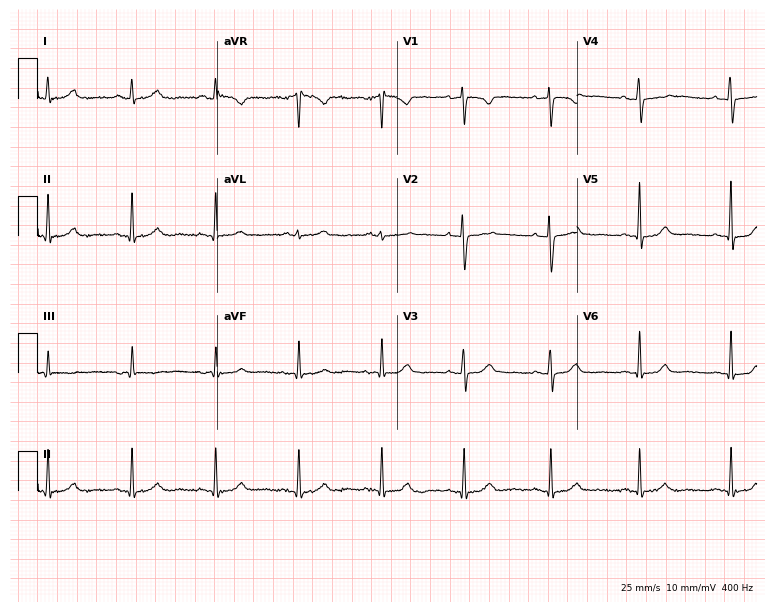
Electrocardiogram, a 45-year-old female patient. Of the six screened findings (first-degree AV block, right bundle branch block (RBBB), left bundle branch block (LBBB), sinus bradycardia, atrial fibrillation (AF), sinus tachycardia), none is recorded. Other findings, if any, are not listed.